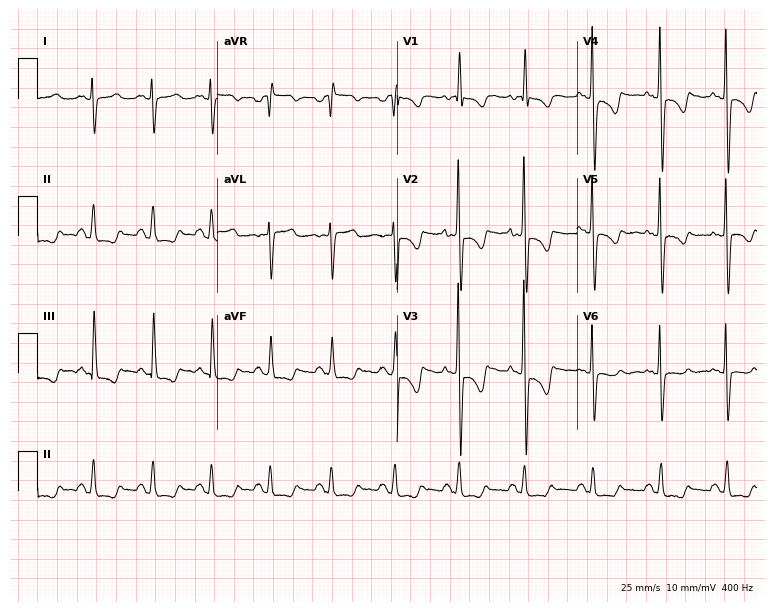
12-lead ECG (7.3-second recording at 400 Hz) from a woman, 30 years old. Labelled as a normal ECG.